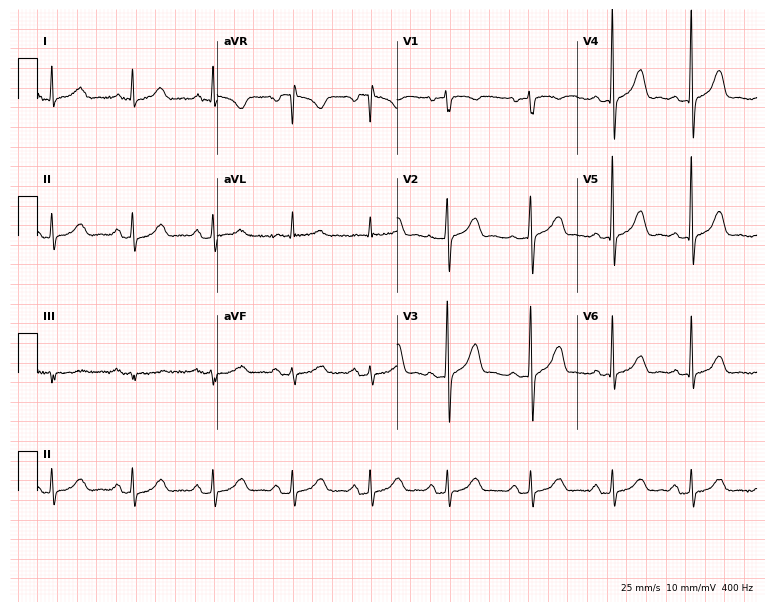
Electrocardiogram, a 52-year-old woman. Of the six screened findings (first-degree AV block, right bundle branch block, left bundle branch block, sinus bradycardia, atrial fibrillation, sinus tachycardia), none is recorded.